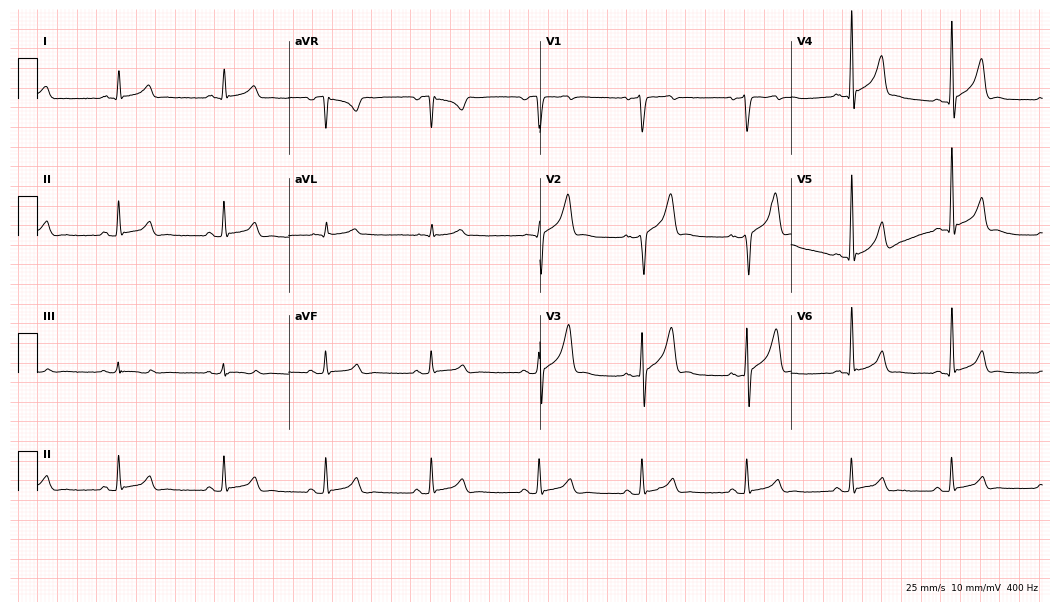
Resting 12-lead electrocardiogram. Patient: a man, 44 years old. Read as a normal ECG.